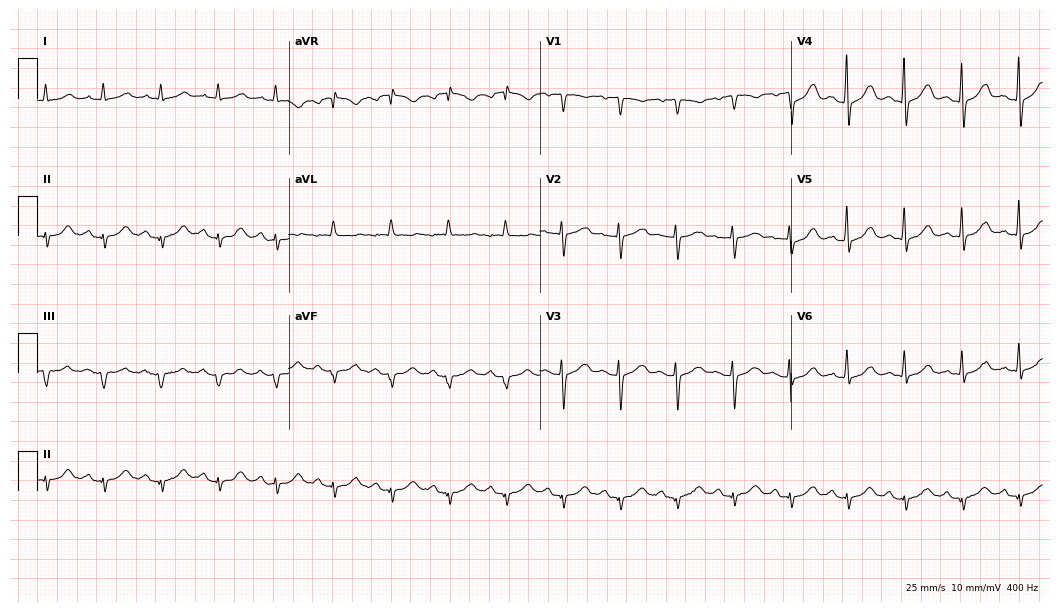
ECG — a 78-year-old female. Findings include sinus tachycardia (a sinus rate of 100 beats per minute or more).